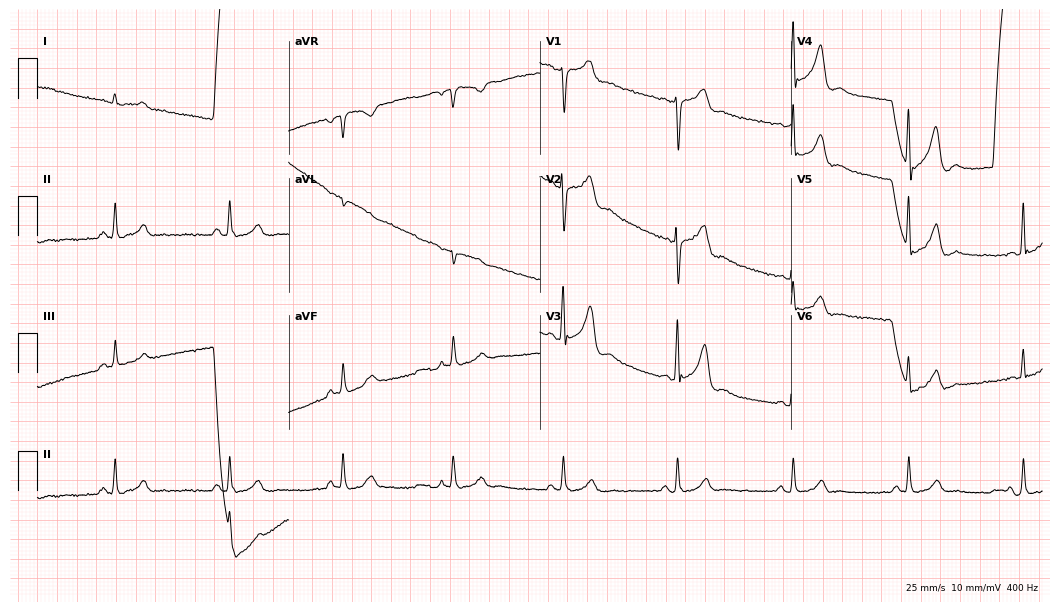
Electrocardiogram (10.2-second recording at 400 Hz), a 60-year-old man. Interpretation includes sinus bradycardia (a sinus rate of 50 beats per minute or less).